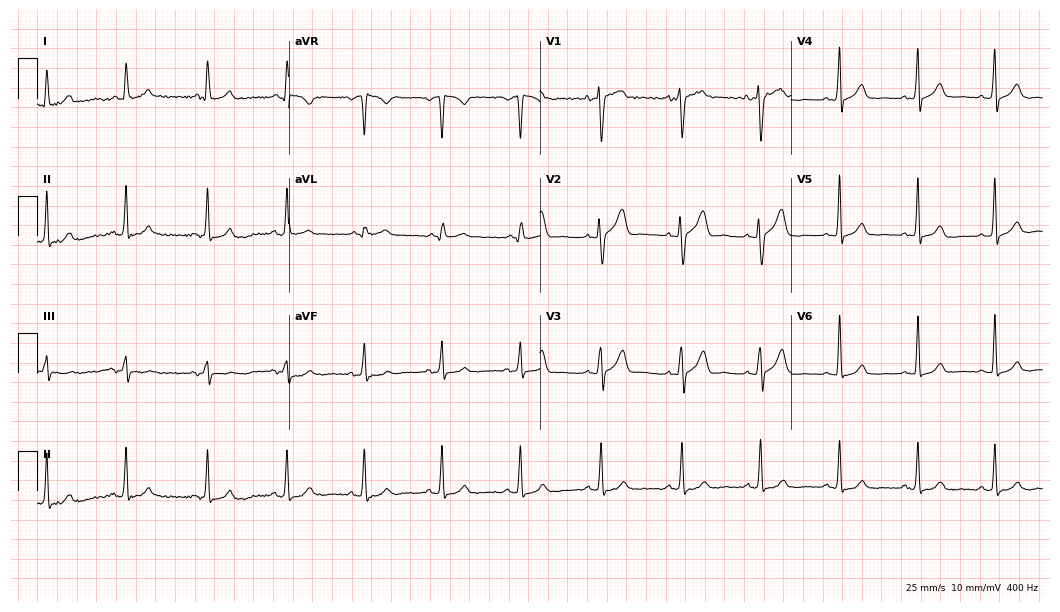
ECG — a 50-year-old woman. Screened for six findings — first-degree AV block, right bundle branch block, left bundle branch block, sinus bradycardia, atrial fibrillation, sinus tachycardia — none is recorded.